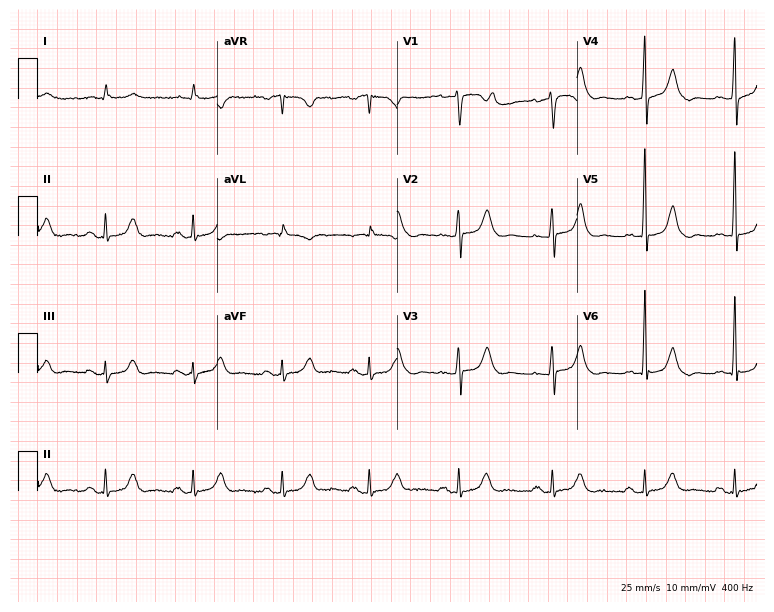
Standard 12-lead ECG recorded from a 77-year-old male patient (7.3-second recording at 400 Hz). None of these six findings is recorded: first-degree AV block, right bundle branch block, left bundle branch block, sinus bradycardia, atrial fibrillation, sinus tachycardia.